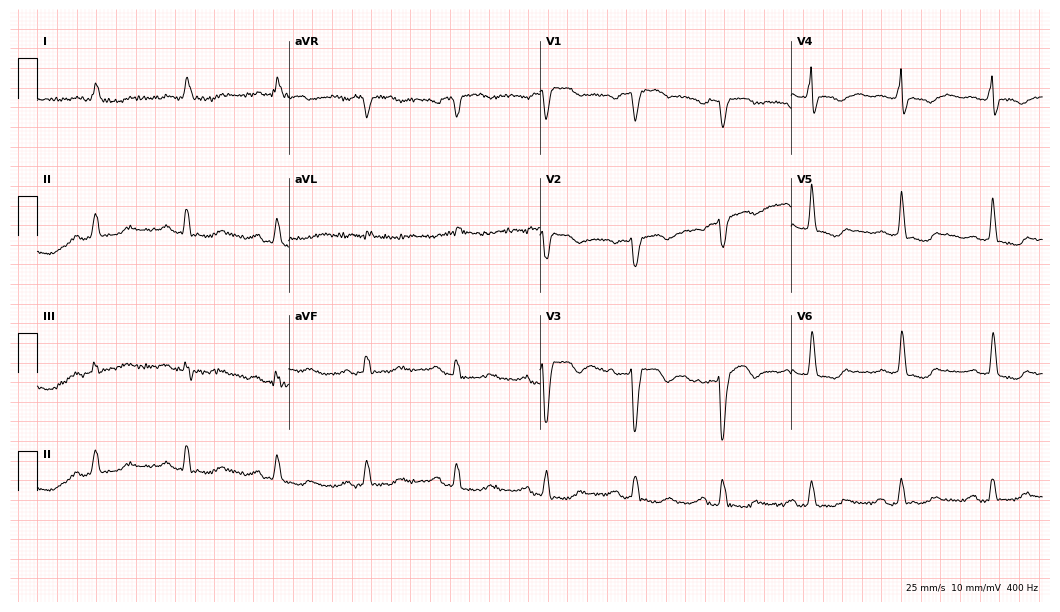
12-lead ECG from a woman, 67 years old (10.2-second recording at 400 Hz). Shows first-degree AV block, left bundle branch block.